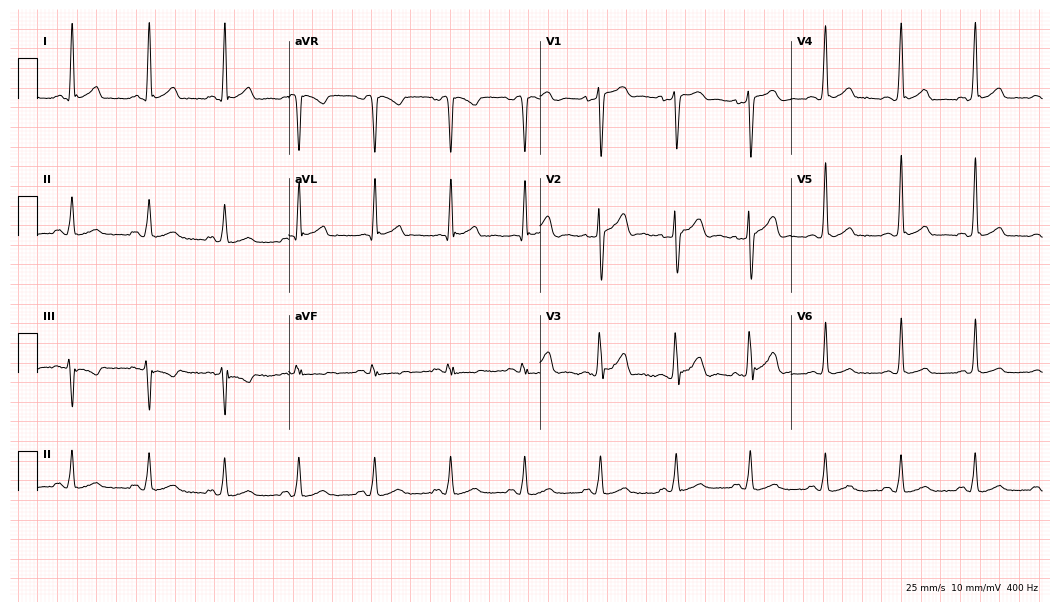
12-lead ECG (10.2-second recording at 400 Hz) from a man, 26 years old. Screened for six findings — first-degree AV block, right bundle branch block, left bundle branch block, sinus bradycardia, atrial fibrillation, sinus tachycardia — none is recorded.